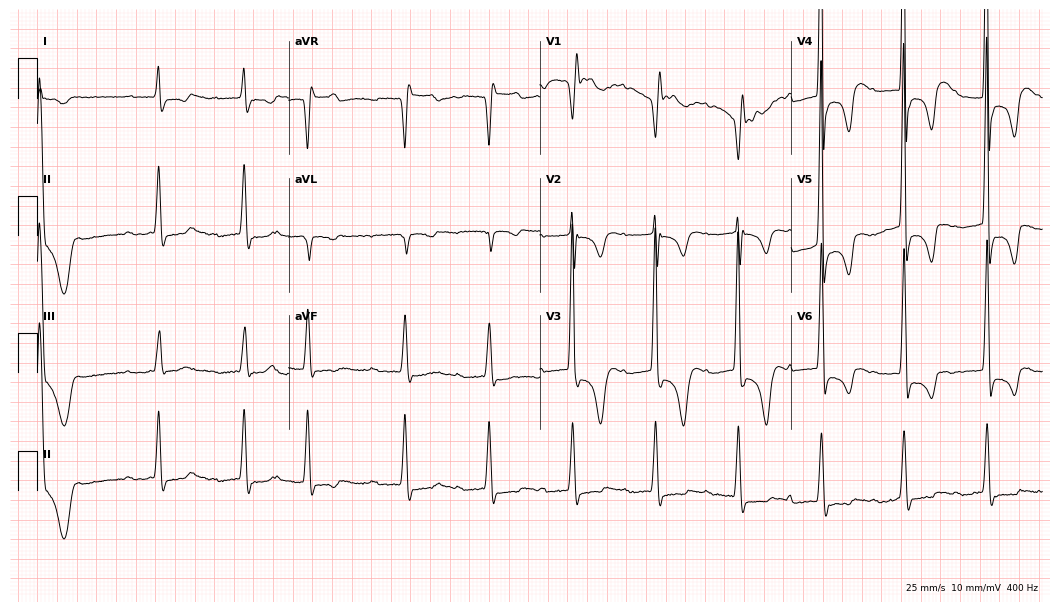
Resting 12-lead electrocardiogram. Patient: a male, 84 years old. The tracing shows first-degree AV block, atrial fibrillation (AF).